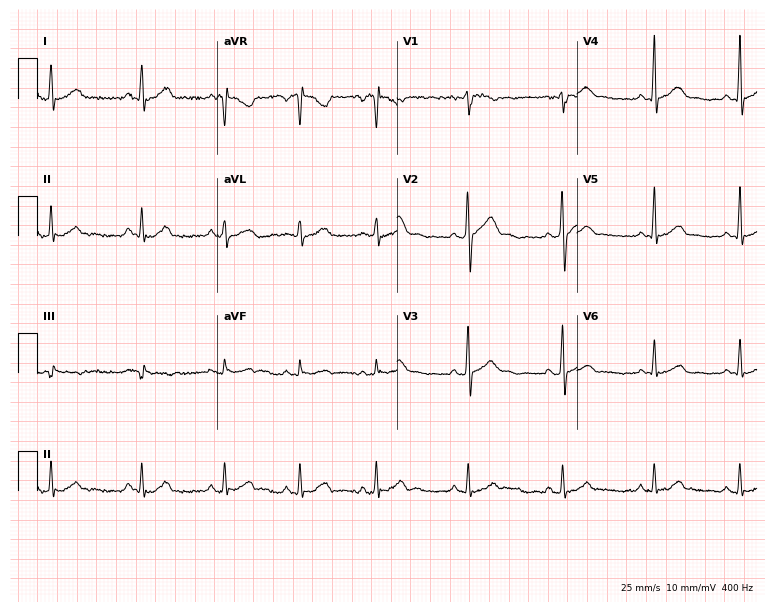
12-lead ECG from a man, 29 years old. Recorded interpretation: within normal limits.